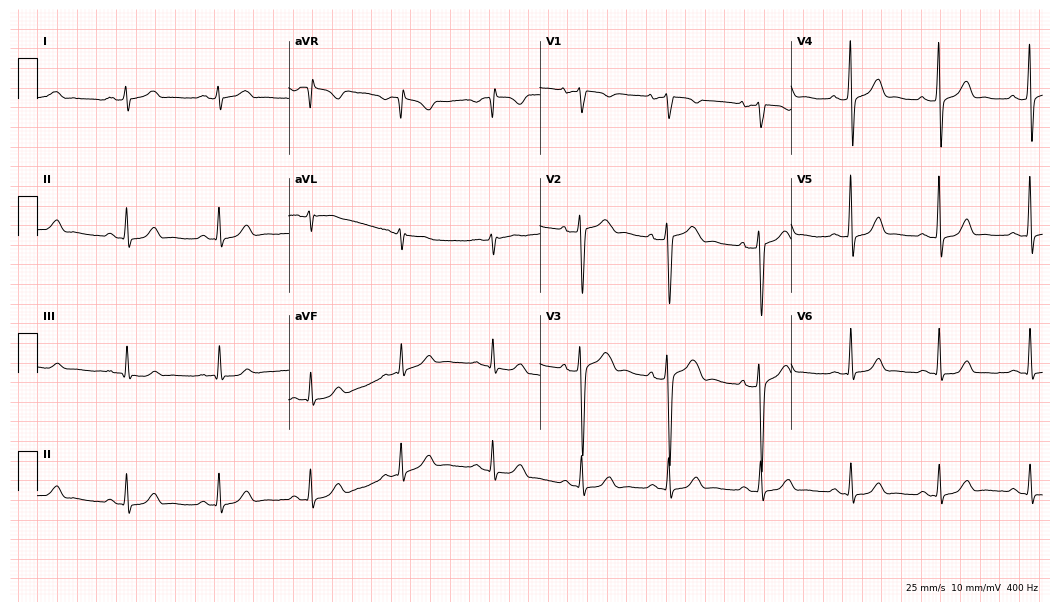
12-lead ECG from a 33-year-old man (10.2-second recording at 400 Hz). No first-degree AV block, right bundle branch block, left bundle branch block, sinus bradycardia, atrial fibrillation or sinus tachycardia recorded for this tracing.